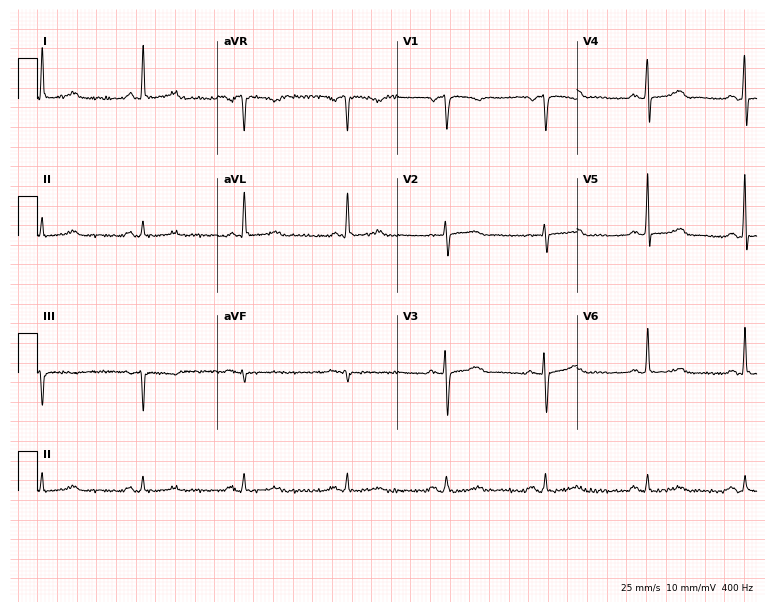
12-lead ECG from a 74-year-old man. Recorded interpretation: within normal limits.